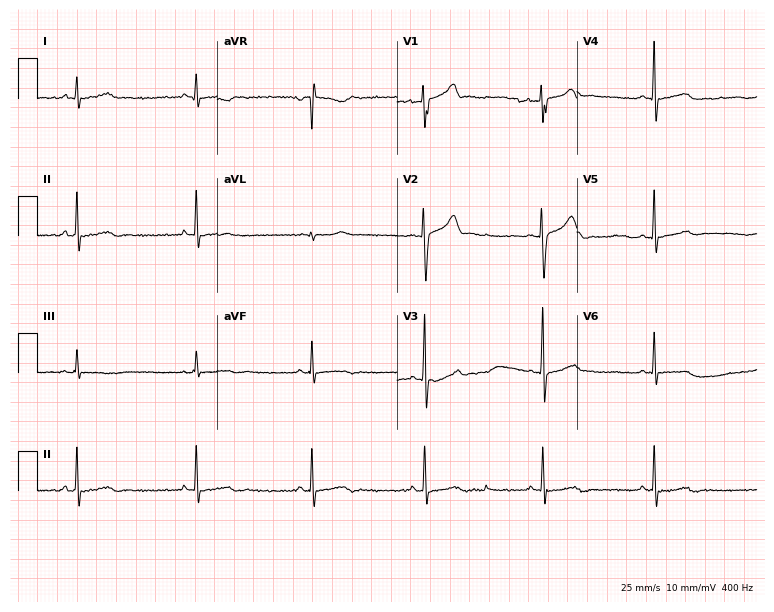
Electrocardiogram, a 23-year-old man. Overall reading on record: normal ECG.